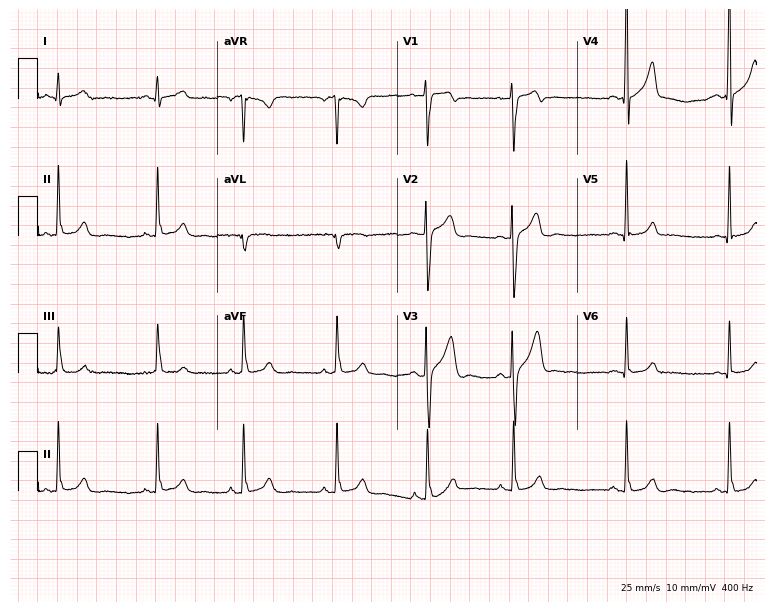
12-lead ECG from a 20-year-old male. Labelled as a normal ECG.